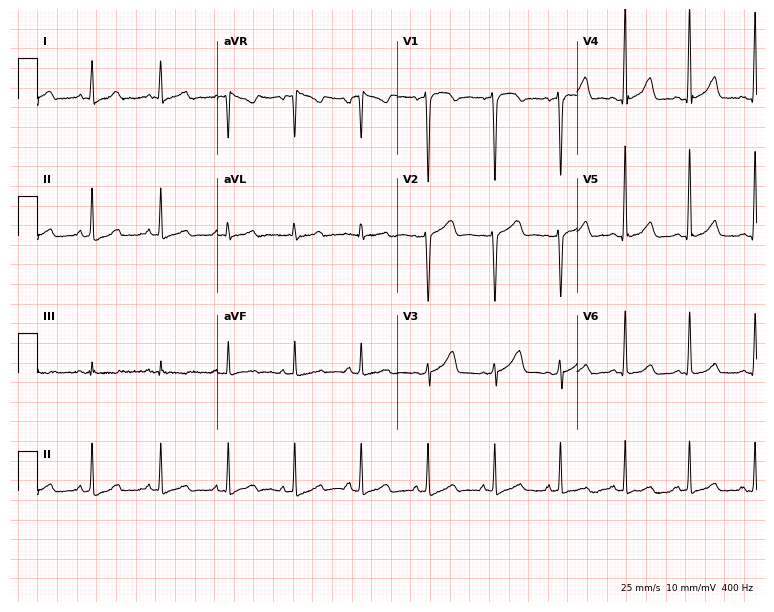
Electrocardiogram (7.3-second recording at 400 Hz), a 47-year-old female. Of the six screened findings (first-degree AV block, right bundle branch block, left bundle branch block, sinus bradycardia, atrial fibrillation, sinus tachycardia), none is recorded.